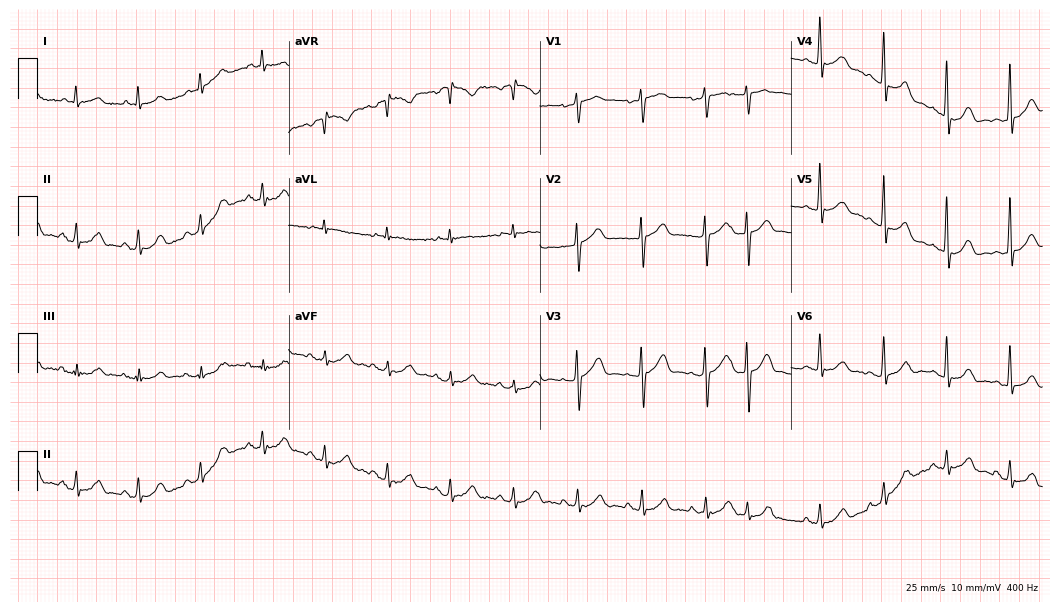
ECG — a 59-year-old man. Labelled as a normal ECG.